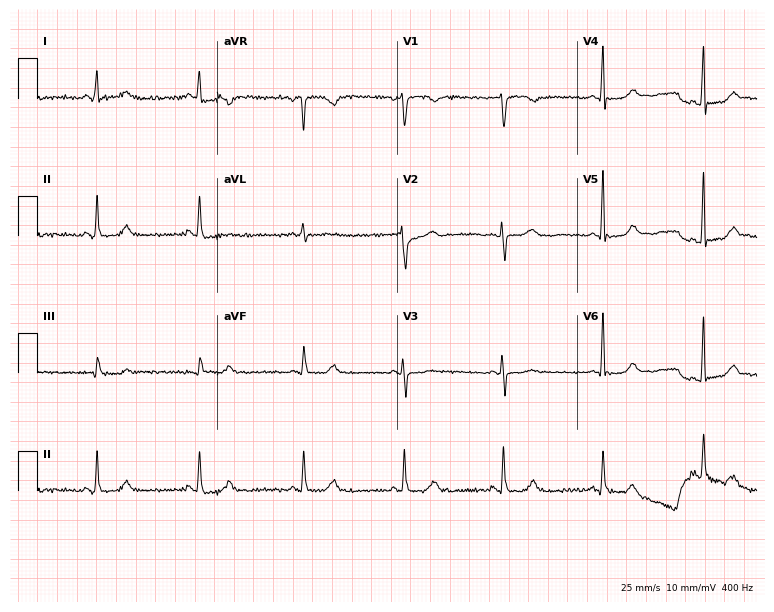
12-lead ECG from a 71-year-old female patient. Recorded interpretation: within normal limits.